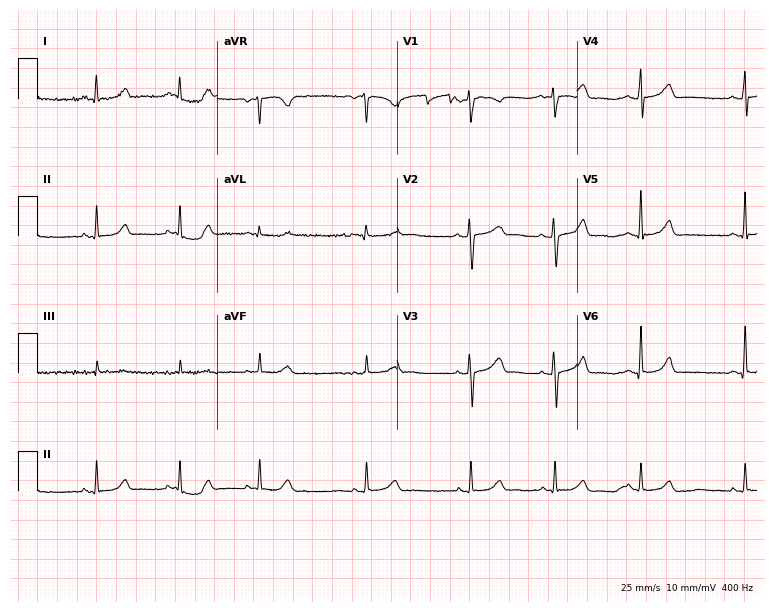
12-lead ECG (7.3-second recording at 400 Hz) from a female patient, 18 years old. Labelled as a normal ECG.